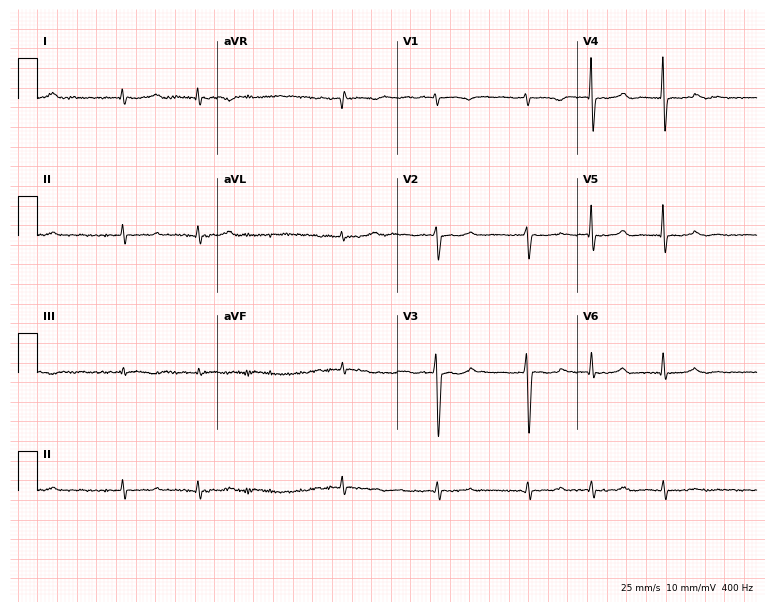
ECG (7.3-second recording at 400 Hz) — a female patient, 73 years old. Findings include atrial fibrillation.